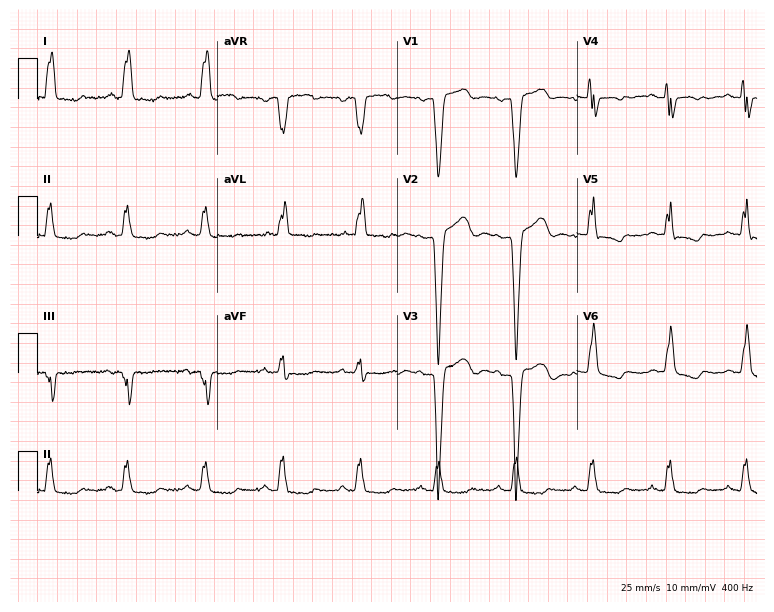
Resting 12-lead electrocardiogram (7.3-second recording at 400 Hz). Patient: a 69-year-old female. The tracing shows left bundle branch block.